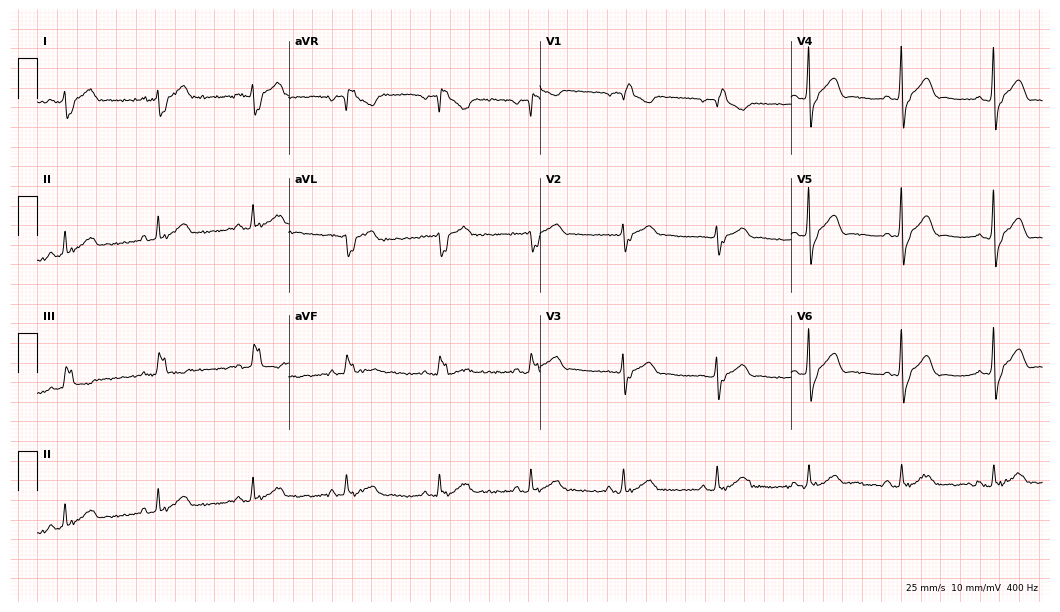
12-lead ECG from a 78-year-old woman (10.2-second recording at 400 Hz). Shows right bundle branch block (RBBB).